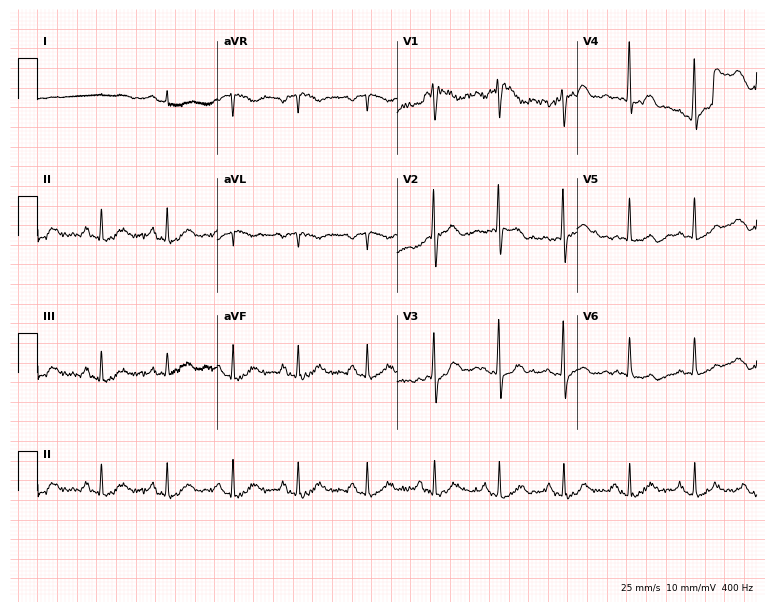
Standard 12-lead ECG recorded from a female patient, 64 years old. None of these six findings is recorded: first-degree AV block, right bundle branch block, left bundle branch block, sinus bradycardia, atrial fibrillation, sinus tachycardia.